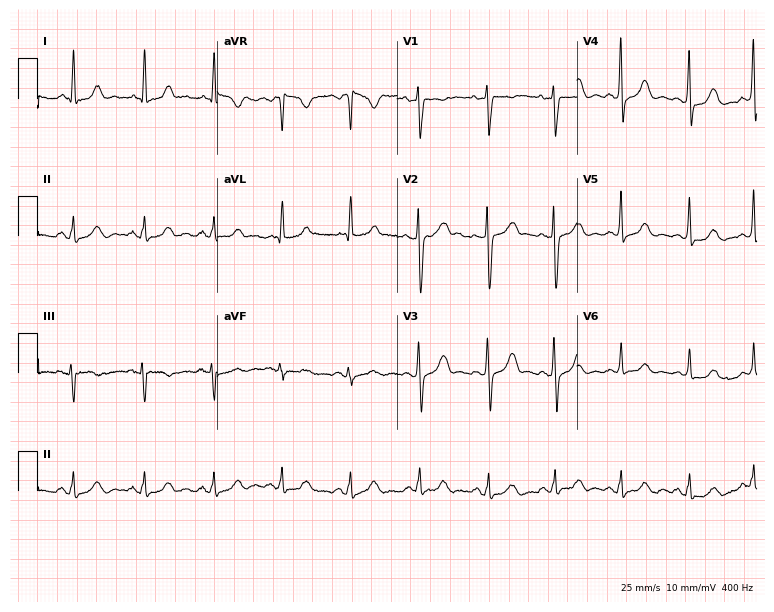
Resting 12-lead electrocardiogram (7.3-second recording at 400 Hz). Patient: a 45-year-old female. None of these six findings is recorded: first-degree AV block, right bundle branch block (RBBB), left bundle branch block (LBBB), sinus bradycardia, atrial fibrillation (AF), sinus tachycardia.